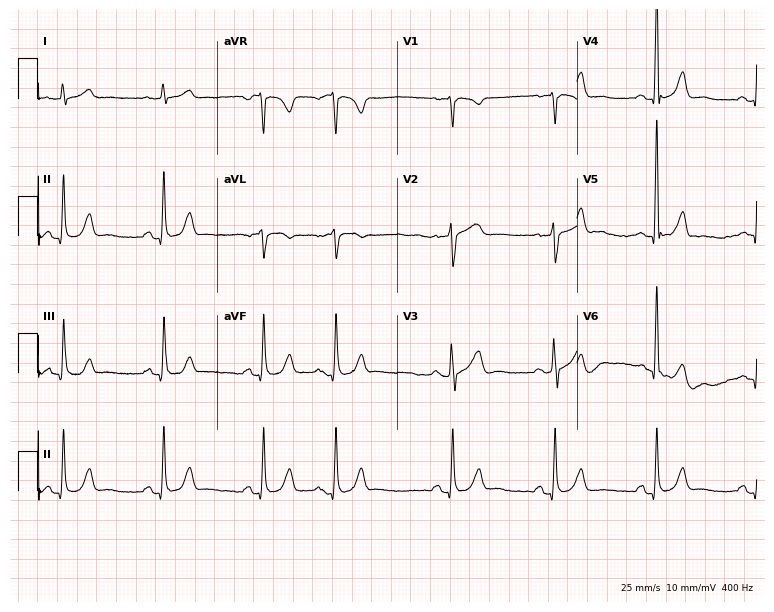
12-lead ECG (7.3-second recording at 400 Hz) from a 62-year-old man. Screened for six findings — first-degree AV block, right bundle branch block, left bundle branch block, sinus bradycardia, atrial fibrillation, sinus tachycardia — none is recorded. Other findings, if any, are not listed.